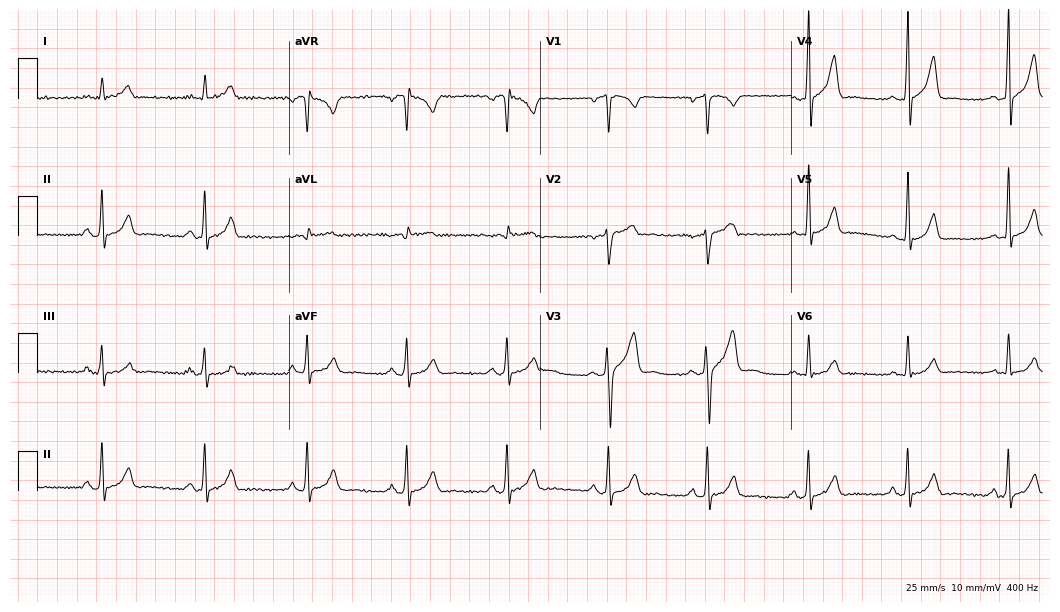
ECG (10.2-second recording at 400 Hz) — a male patient, 43 years old. Screened for six findings — first-degree AV block, right bundle branch block (RBBB), left bundle branch block (LBBB), sinus bradycardia, atrial fibrillation (AF), sinus tachycardia — none is recorded. Other findings, if any, are not listed.